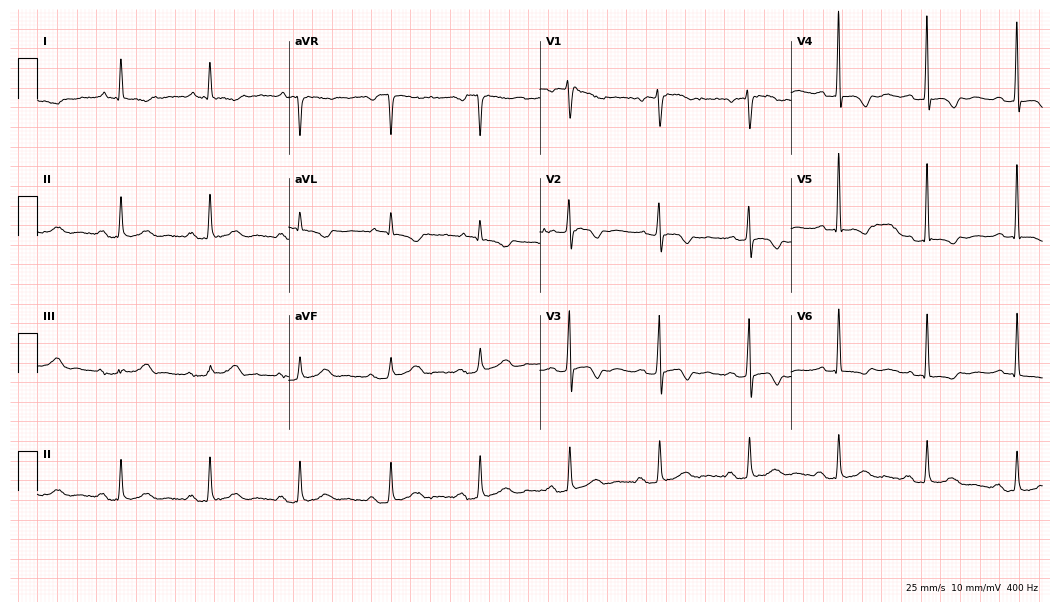
Electrocardiogram, a female, 76 years old. Of the six screened findings (first-degree AV block, right bundle branch block, left bundle branch block, sinus bradycardia, atrial fibrillation, sinus tachycardia), none is recorded. Findings outside these six are not listed.